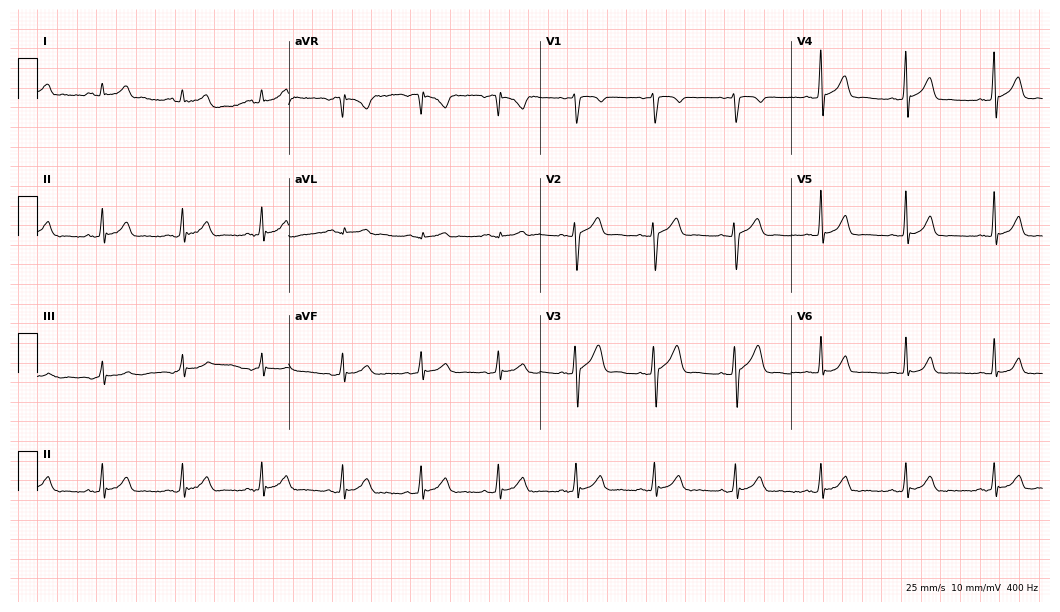
Resting 12-lead electrocardiogram. Patient: a 36-year-old male. Read as a normal ECG.